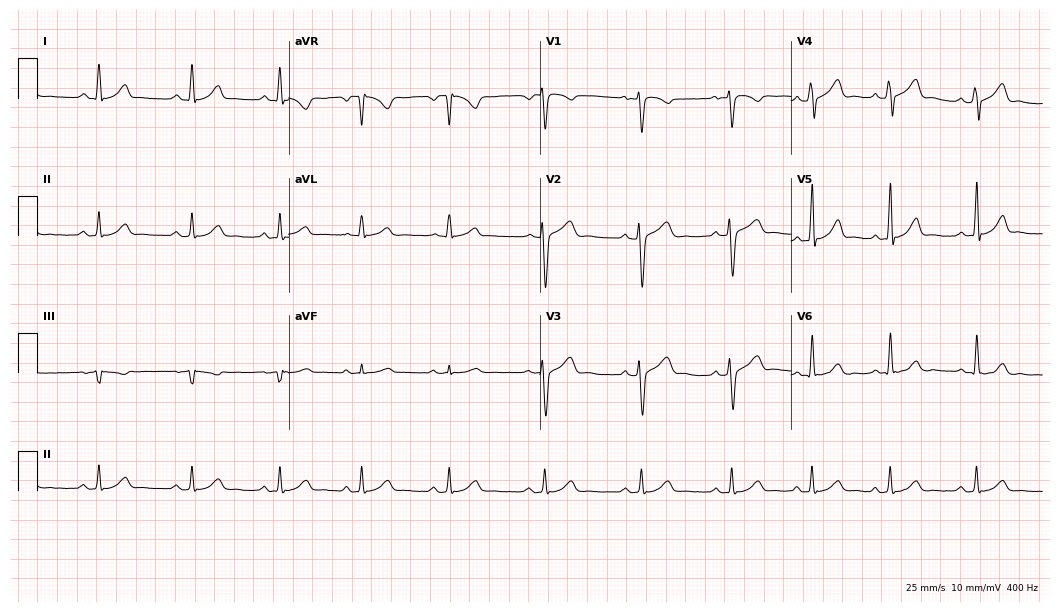
Standard 12-lead ECG recorded from a male patient, 25 years old. Read as a normal ECG.